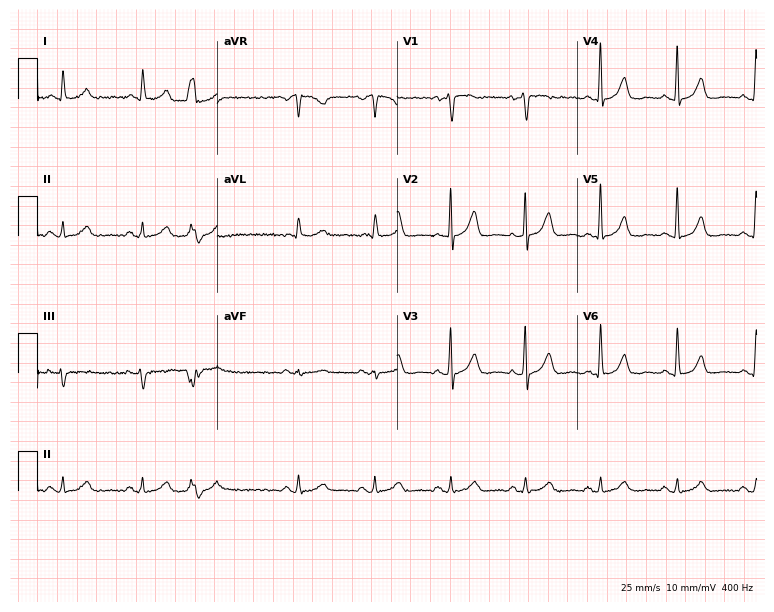
ECG — a male patient, 64 years old. Screened for six findings — first-degree AV block, right bundle branch block, left bundle branch block, sinus bradycardia, atrial fibrillation, sinus tachycardia — none is recorded.